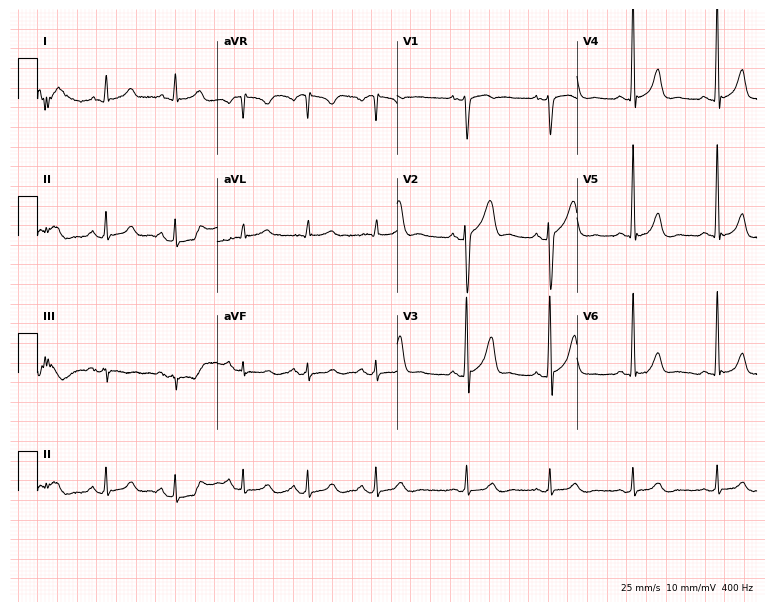
ECG (7.3-second recording at 400 Hz) — a male, 24 years old. Labelled as a normal ECG.